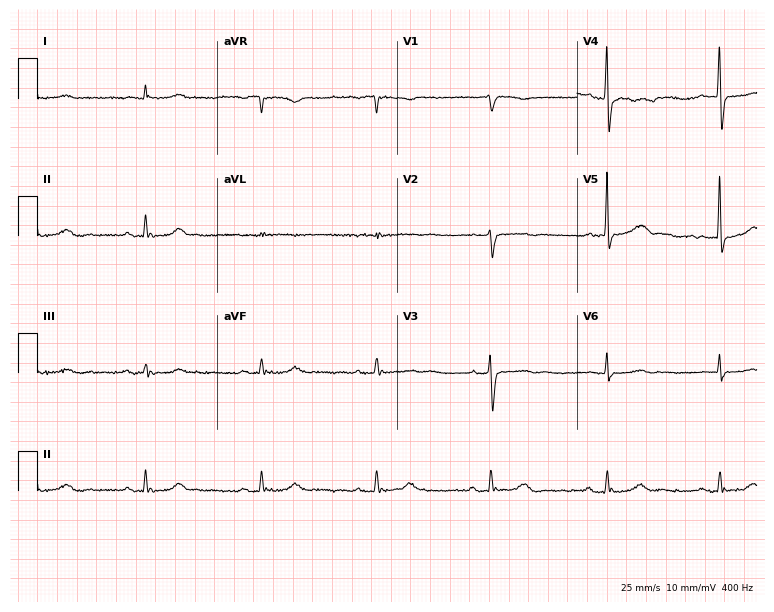
12-lead ECG from a man, 79 years old. No first-degree AV block, right bundle branch block, left bundle branch block, sinus bradycardia, atrial fibrillation or sinus tachycardia recorded for this tracing. Findings outside these six are not listed.